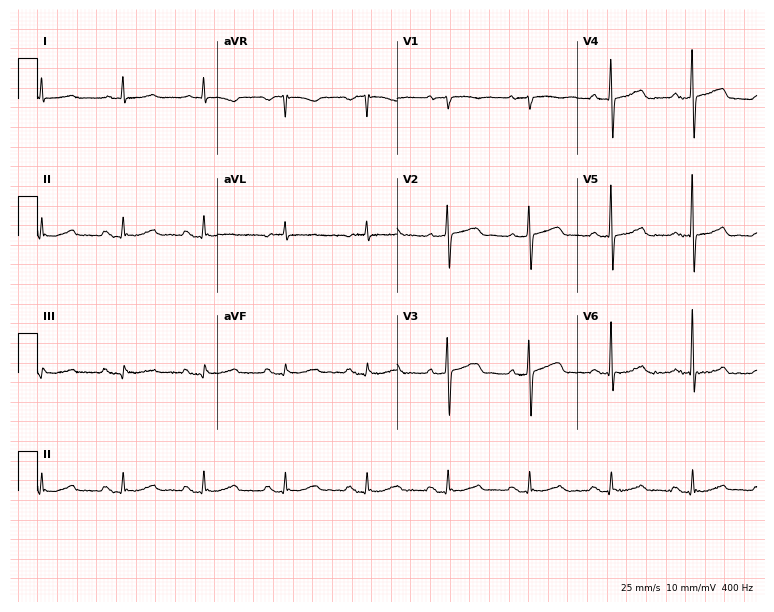
Resting 12-lead electrocardiogram. Patient: a 63-year-old man. None of these six findings is recorded: first-degree AV block, right bundle branch block, left bundle branch block, sinus bradycardia, atrial fibrillation, sinus tachycardia. Findings outside these six are not listed.